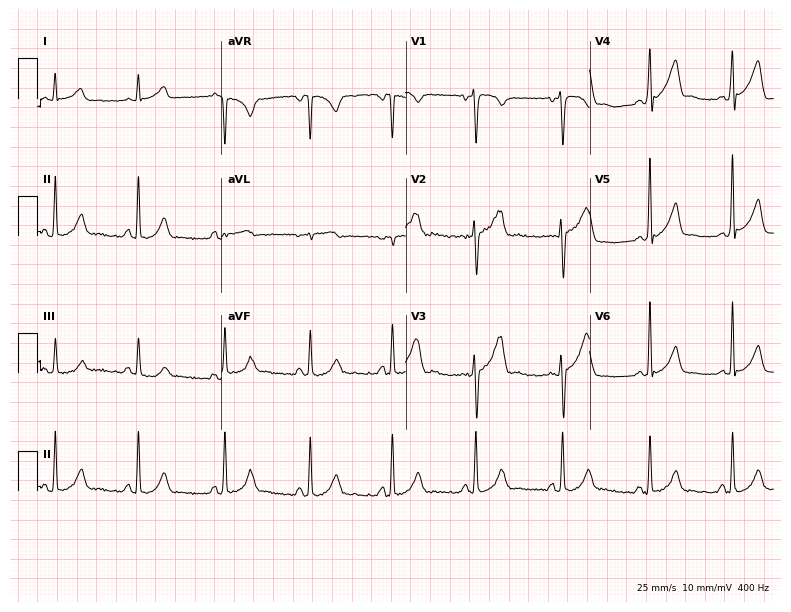
Resting 12-lead electrocardiogram. Patient: a male, 30 years old. Read as a normal ECG.